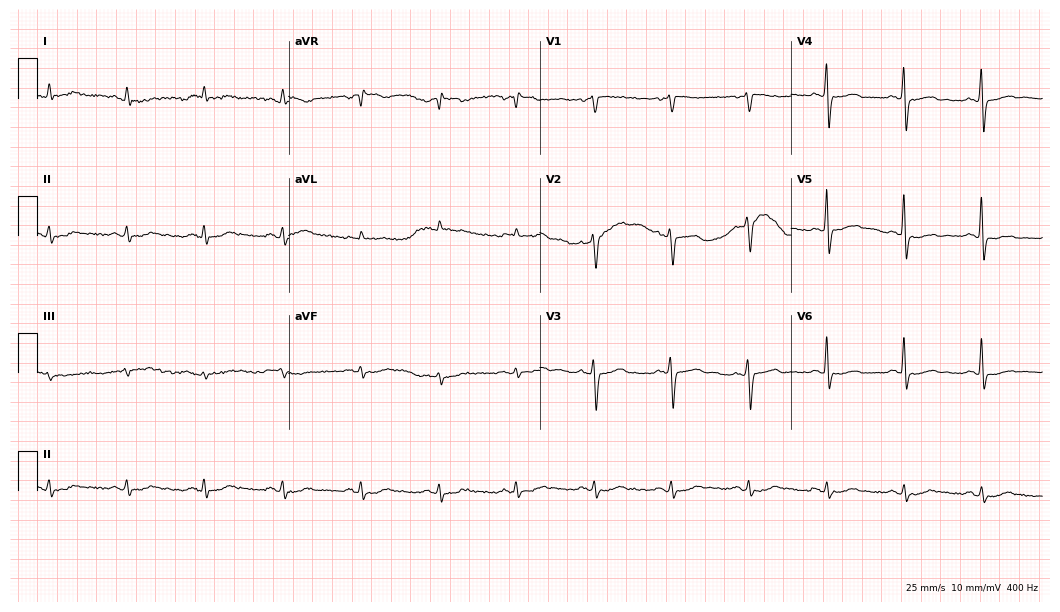
12-lead ECG (10.2-second recording at 400 Hz) from a male, 72 years old. Screened for six findings — first-degree AV block, right bundle branch block, left bundle branch block, sinus bradycardia, atrial fibrillation, sinus tachycardia — none is recorded.